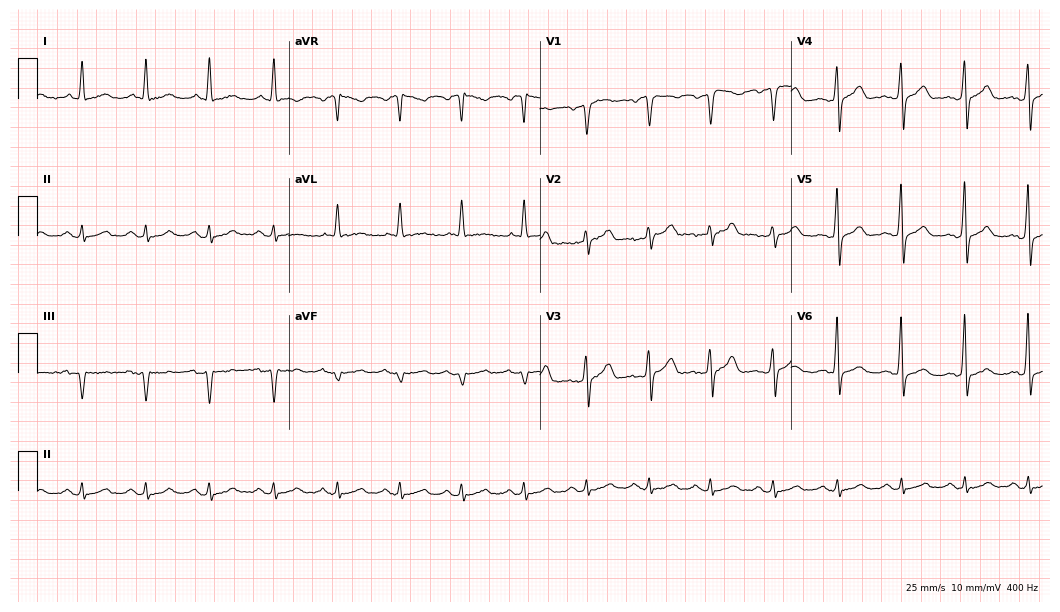
Standard 12-lead ECG recorded from a male patient, 62 years old. Read as a normal ECG.